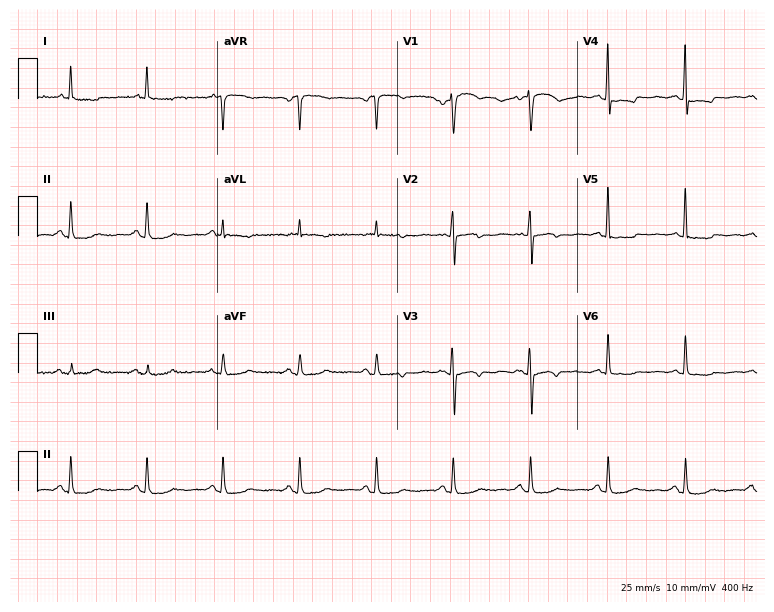
ECG — a 78-year-old female. Screened for six findings — first-degree AV block, right bundle branch block (RBBB), left bundle branch block (LBBB), sinus bradycardia, atrial fibrillation (AF), sinus tachycardia — none is recorded. Findings outside these six are not listed.